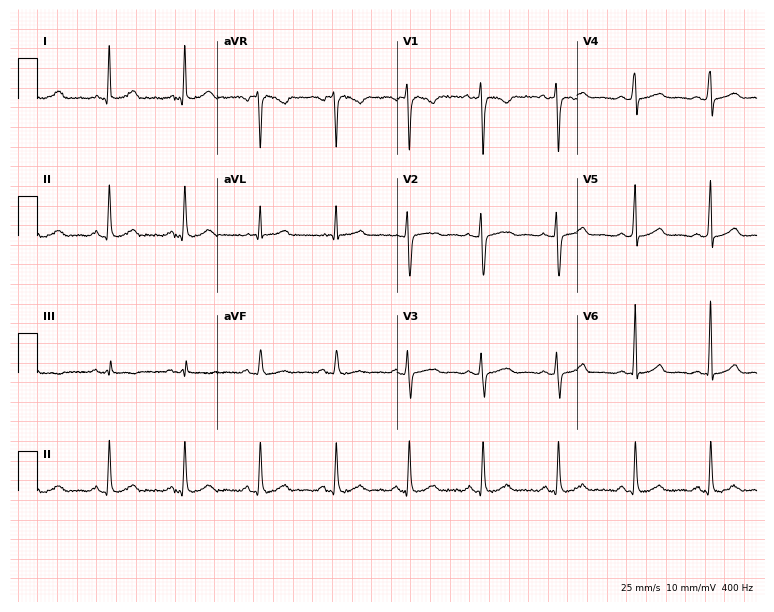
12-lead ECG from a 36-year-old woman (7.3-second recording at 400 Hz). No first-degree AV block, right bundle branch block, left bundle branch block, sinus bradycardia, atrial fibrillation or sinus tachycardia recorded for this tracing.